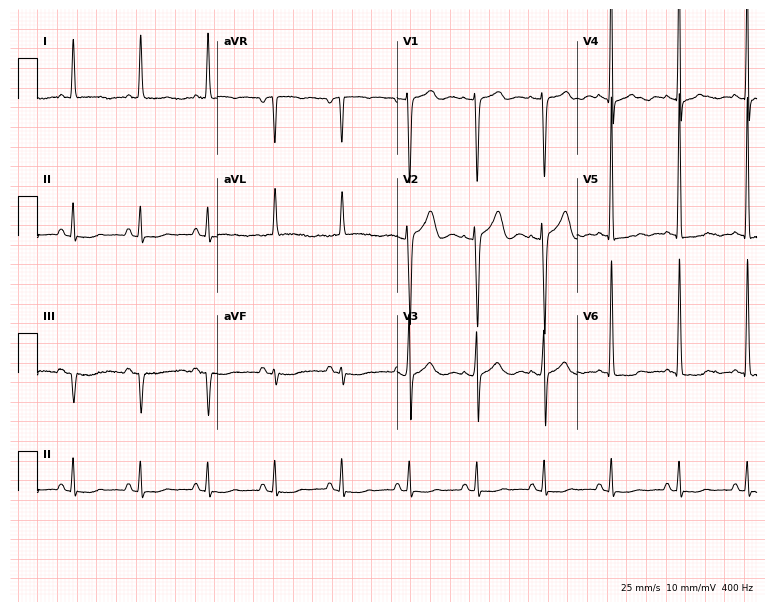
12-lead ECG (7.3-second recording at 400 Hz) from a man, 57 years old. Screened for six findings — first-degree AV block, right bundle branch block, left bundle branch block, sinus bradycardia, atrial fibrillation, sinus tachycardia — none is recorded. Only these six findings were labelled.